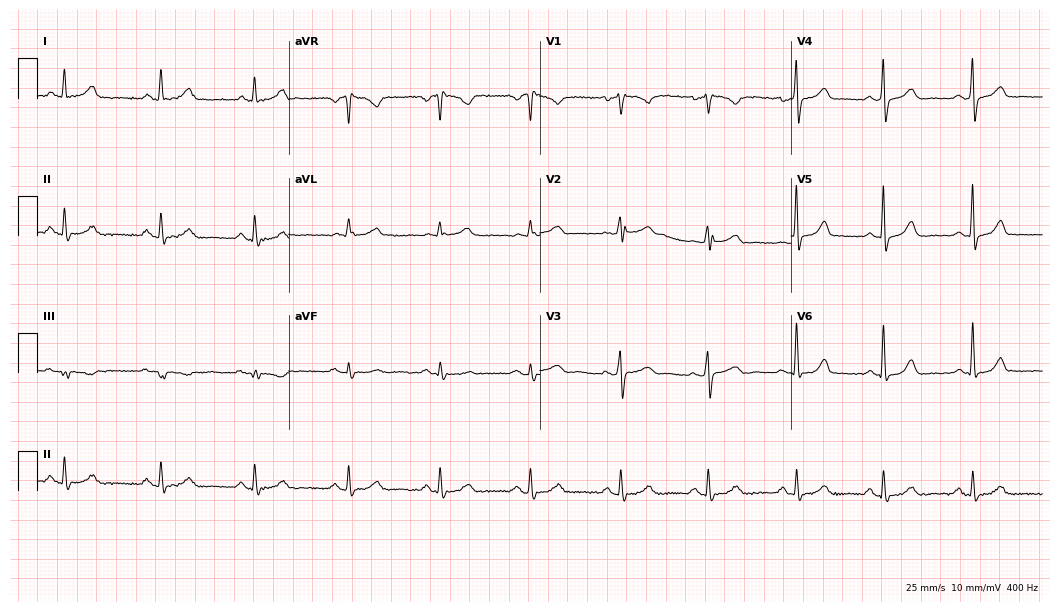
Resting 12-lead electrocardiogram. Patient: a female, 47 years old. None of these six findings is recorded: first-degree AV block, right bundle branch block, left bundle branch block, sinus bradycardia, atrial fibrillation, sinus tachycardia. Findings outside these six are not listed.